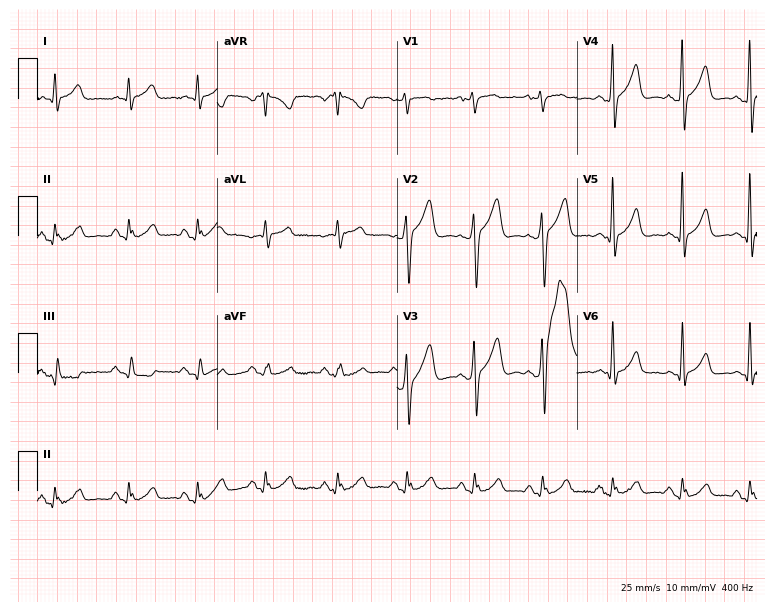
Electrocardiogram, a 64-year-old male. Of the six screened findings (first-degree AV block, right bundle branch block, left bundle branch block, sinus bradycardia, atrial fibrillation, sinus tachycardia), none is recorded. Only these six findings were labelled.